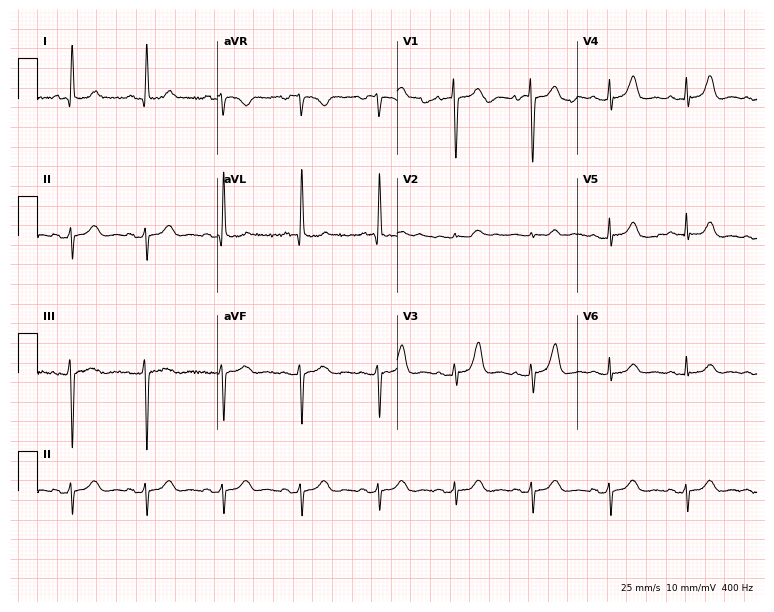
12-lead ECG from a woman, 73 years old. No first-degree AV block, right bundle branch block, left bundle branch block, sinus bradycardia, atrial fibrillation or sinus tachycardia recorded for this tracing.